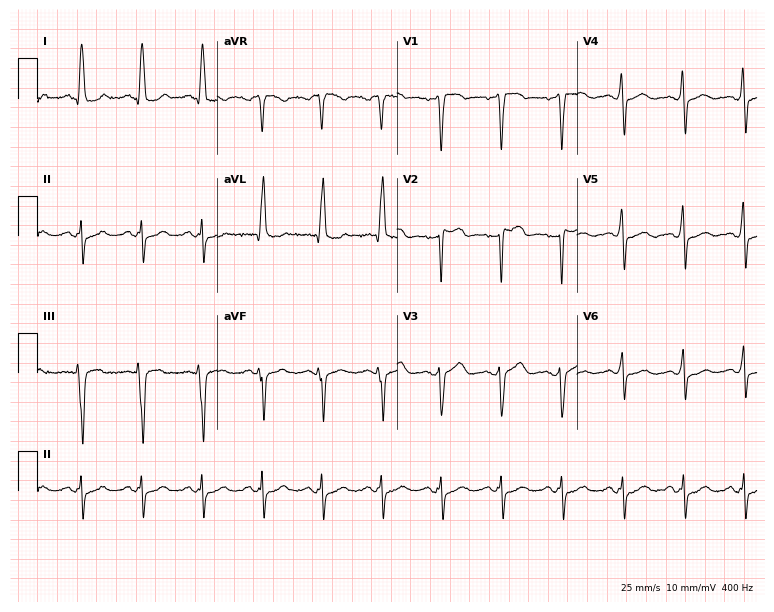
12-lead ECG from a man, 74 years old. Screened for six findings — first-degree AV block, right bundle branch block (RBBB), left bundle branch block (LBBB), sinus bradycardia, atrial fibrillation (AF), sinus tachycardia — none is recorded. Only these six findings were labelled.